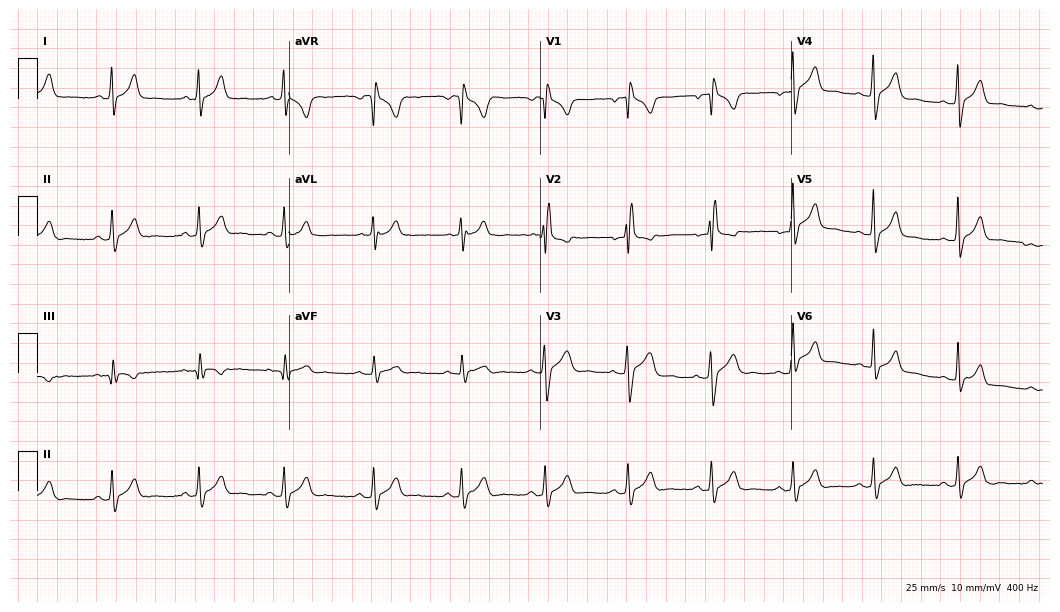
12-lead ECG from a male, 24 years old. No first-degree AV block, right bundle branch block (RBBB), left bundle branch block (LBBB), sinus bradycardia, atrial fibrillation (AF) or sinus tachycardia recorded for this tracing.